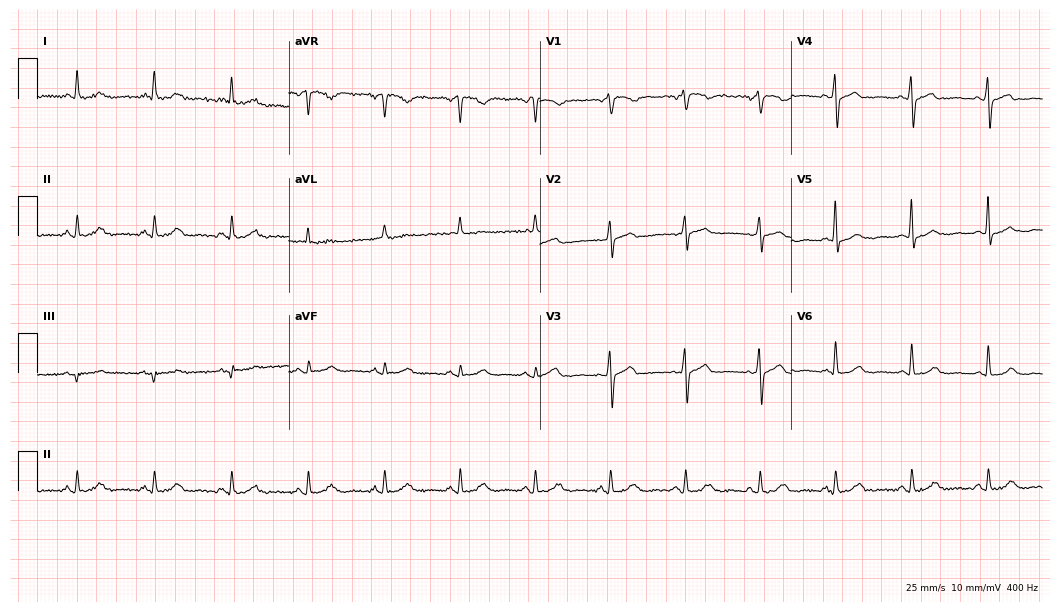
Standard 12-lead ECG recorded from a woman, 51 years old (10.2-second recording at 400 Hz). None of these six findings is recorded: first-degree AV block, right bundle branch block, left bundle branch block, sinus bradycardia, atrial fibrillation, sinus tachycardia.